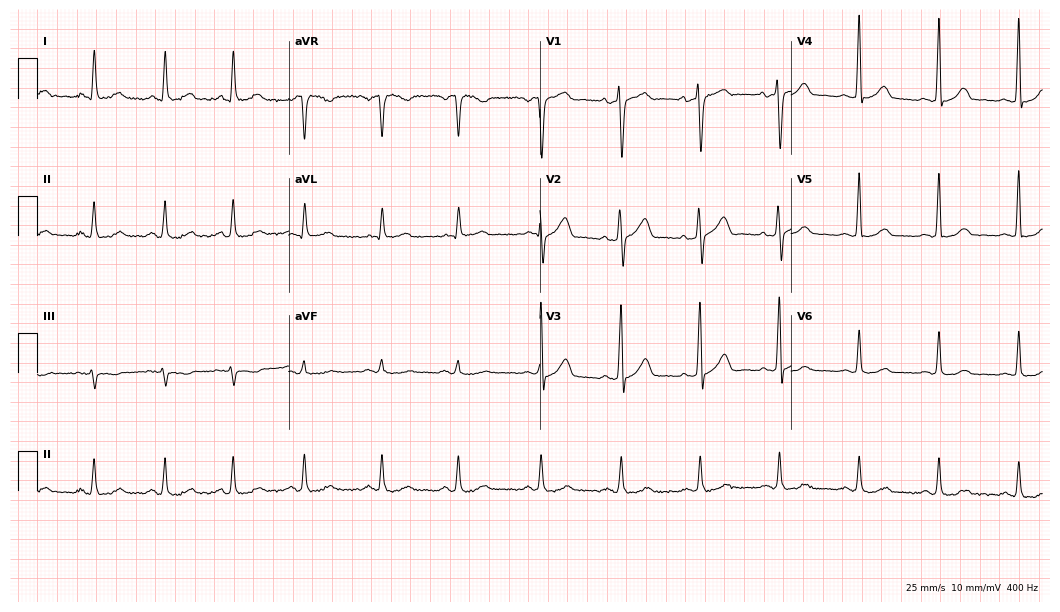
Electrocardiogram (10.2-second recording at 400 Hz), a 53-year-old male. Of the six screened findings (first-degree AV block, right bundle branch block, left bundle branch block, sinus bradycardia, atrial fibrillation, sinus tachycardia), none is recorded. Only these six findings were labelled.